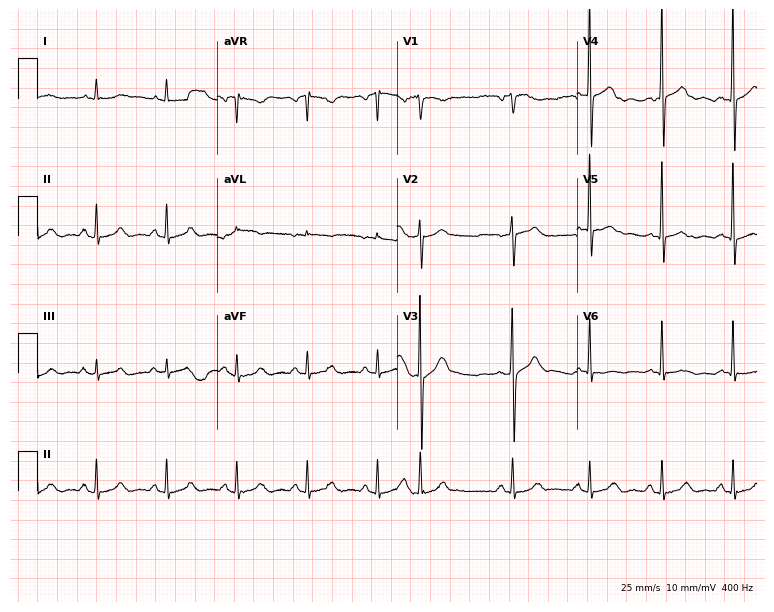
Resting 12-lead electrocardiogram (7.3-second recording at 400 Hz). Patient: a 75-year-old man. None of these six findings is recorded: first-degree AV block, right bundle branch block (RBBB), left bundle branch block (LBBB), sinus bradycardia, atrial fibrillation (AF), sinus tachycardia. Only these six findings were labelled.